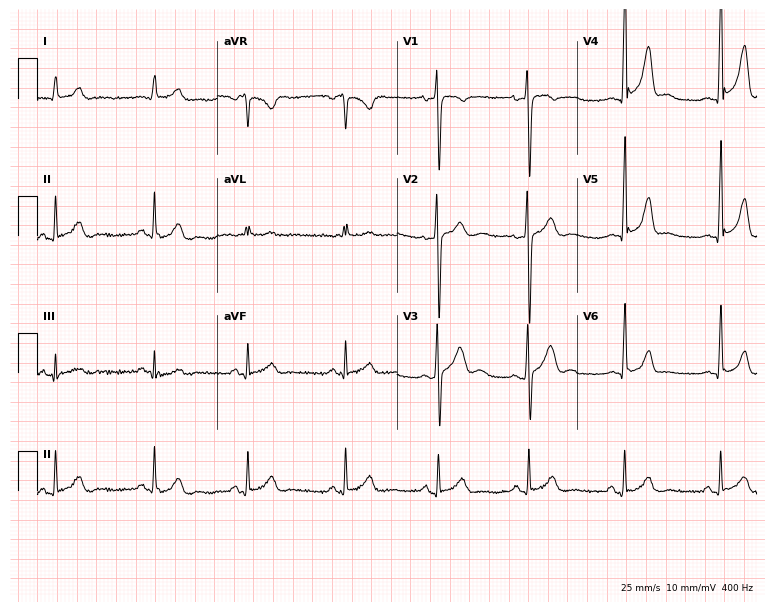
12-lead ECG from a man, 17 years old. Labelled as a normal ECG.